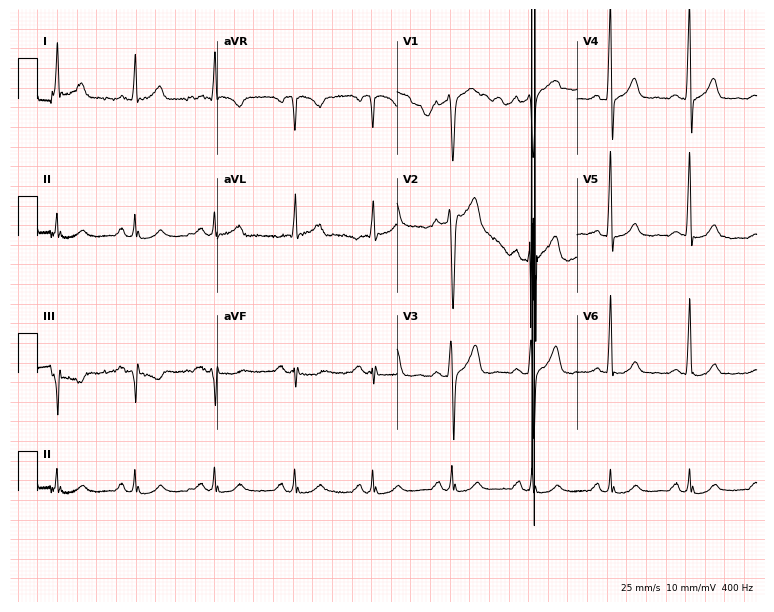
Resting 12-lead electrocardiogram. Patient: a male, 54 years old. None of these six findings is recorded: first-degree AV block, right bundle branch block, left bundle branch block, sinus bradycardia, atrial fibrillation, sinus tachycardia.